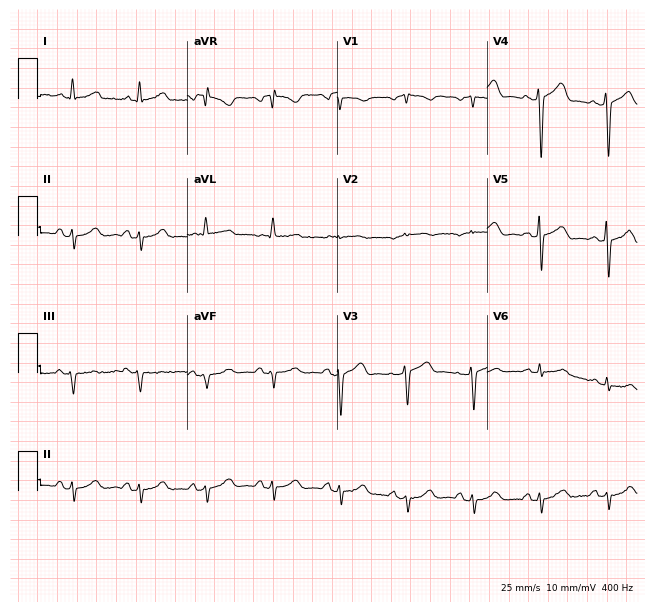
Electrocardiogram, a 66-year-old female. Of the six screened findings (first-degree AV block, right bundle branch block, left bundle branch block, sinus bradycardia, atrial fibrillation, sinus tachycardia), none is recorded. Only these six findings were labelled.